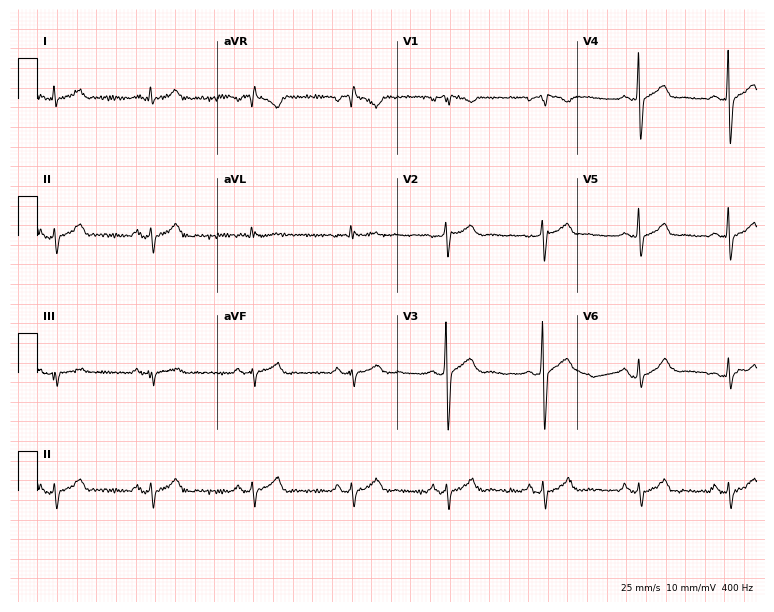
Electrocardiogram (7.3-second recording at 400 Hz), a 46-year-old male. Of the six screened findings (first-degree AV block, right bundle branch block, left bundle branch block, sinus bradycardia, atrial fibrillation, sinus tachycardia), none is recorded.